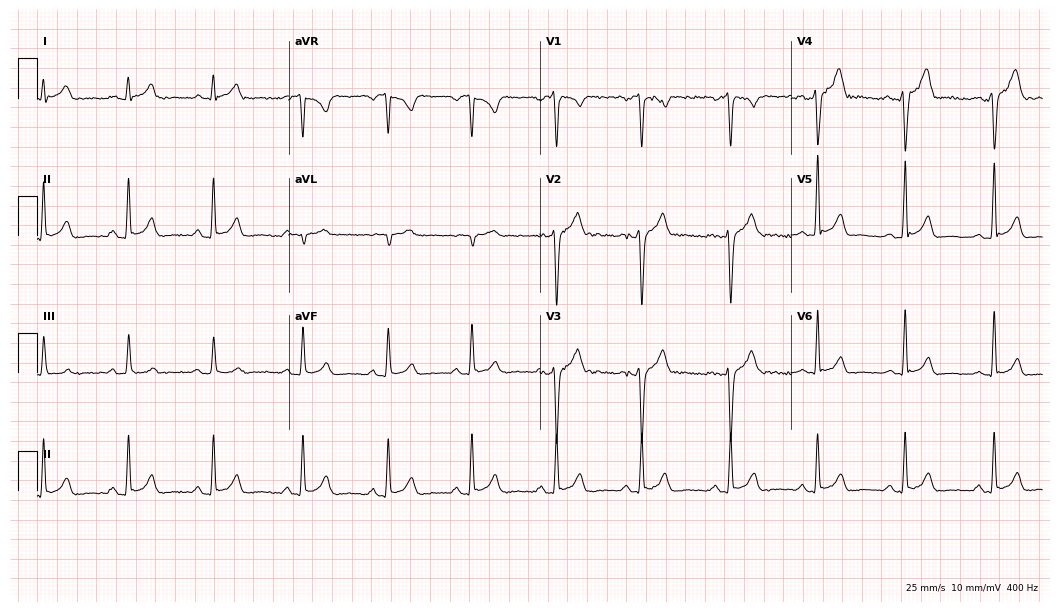
Electrocardiogram (10.2-second recording at 400 Hz), a 29-year-old man. Overall reading on record: normal ECG.